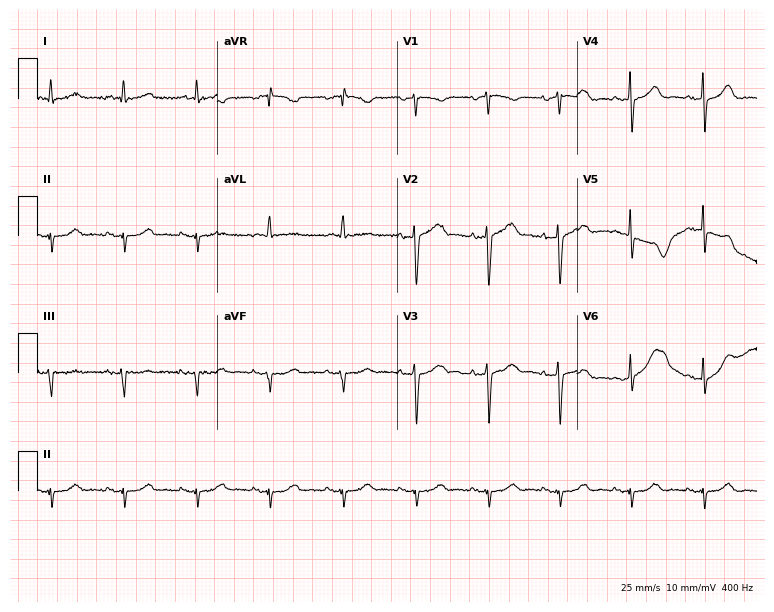
Resting 12-lead electrocardiogram (7.3-second recording at 400 Hz). Patient: a female, 83 years old. None of these six findings is recorded: first-degree AV block, right bundle branch block, left bundle branch block, sinus bradycardia, atrial fibrillation, sinus tachycardia.